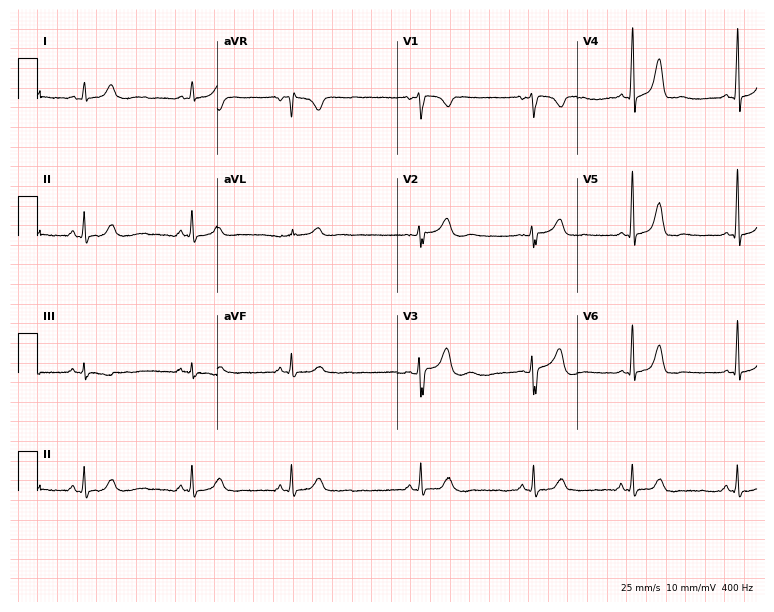
12-lead ECG from a woman, 36 years old (7.3-second recording at 400 Hz). Recorded interpretation: within normal limits.